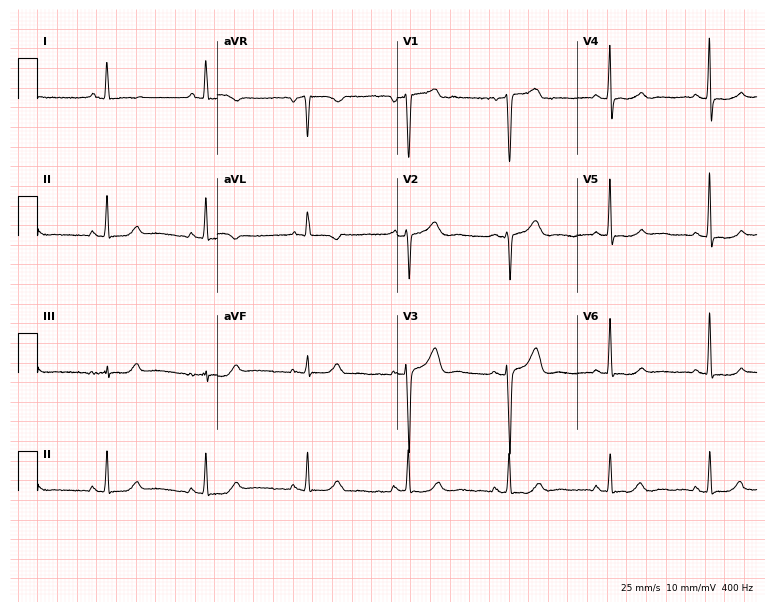
12-lead ECG from a woman, 75 years old. No first-degree AV block, right bundle branch block (RBBB), left bundle branch block (LBBB), sinus bradycardia, atrial fibrillation (AF) or sinus tachycardia recorded for this tracing. Findings outside these six are not listed.